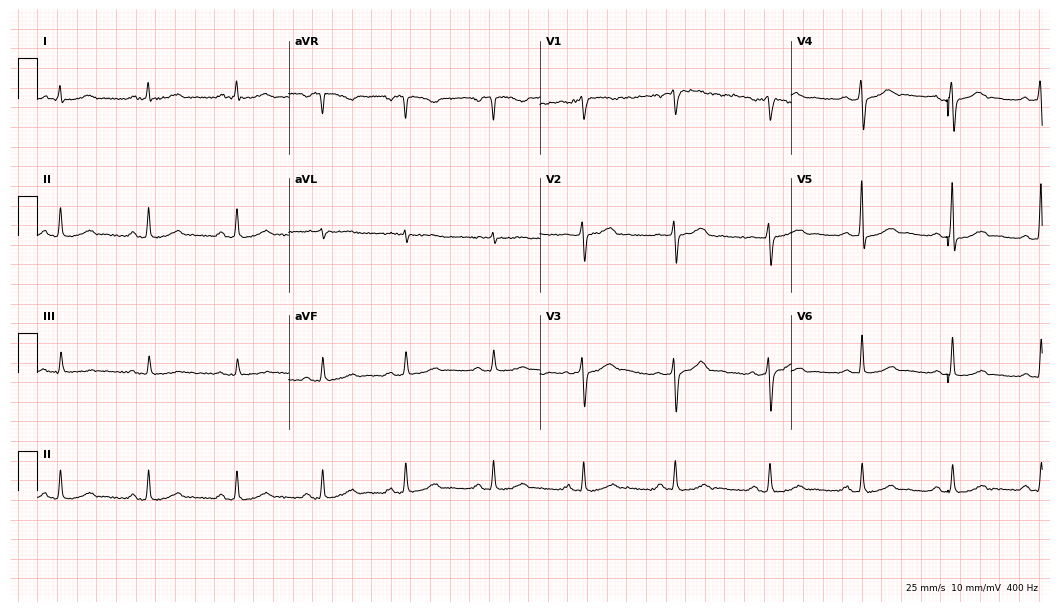
Electrocardiogram, a male patient, 62 years old. Overall reading on record: normal ECG.